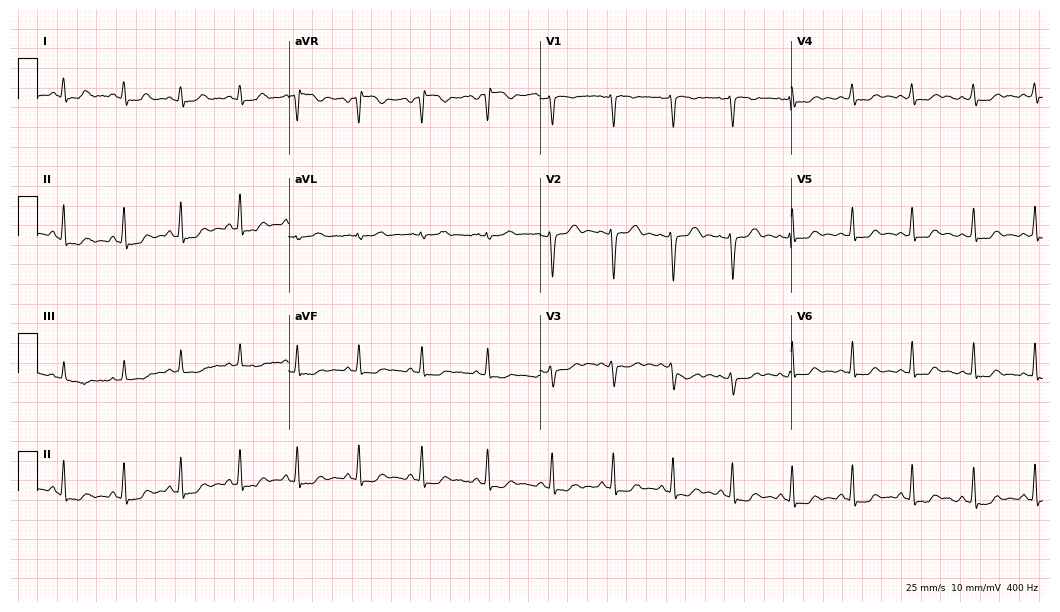
Standard 12-lead ECG recorded from a female, 30 years old. None of these six findings is recorded: first-degree AV block, right bundle branch block (RBBB), left bundle branch block (LBBB), sinus bradycardia, atrial fibrillation (AF), sinus tachycardia. Only these six findings were labelled.